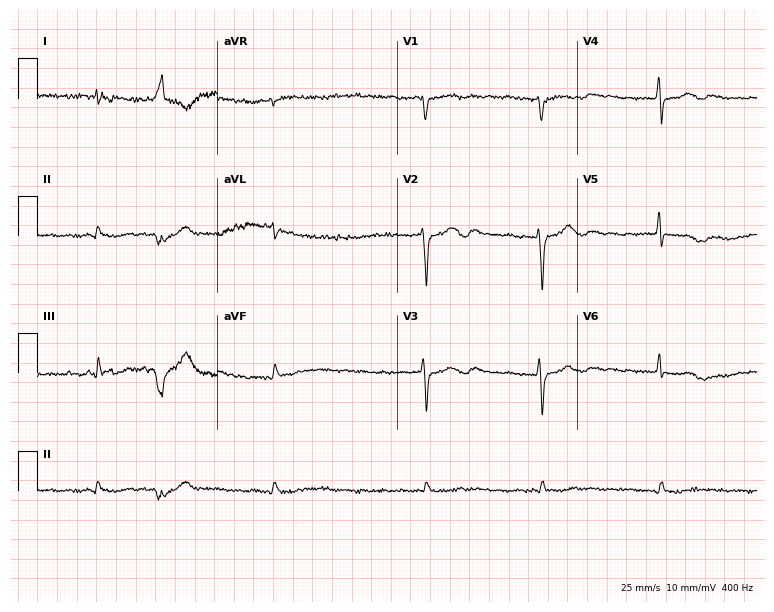
Standard 12-lead ECG recorded from a 78-year-old male (7.3-second recording at 400 Hz). The tracing shows atrial fibrillation.